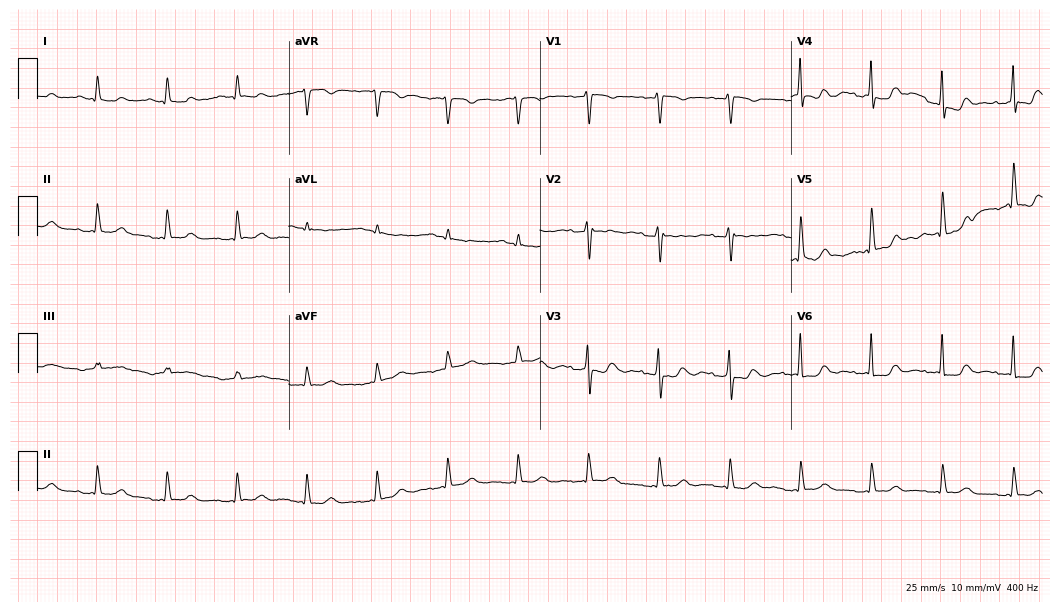
12-lead ECG from a female, 69 years old (10.2-second recording at 400 Hz). No first-degree AV block, right bundle branch block, left bundle branch block, sinus bradycardia, atrial fibrillation or sinus tachycardia recorded for this tracing.